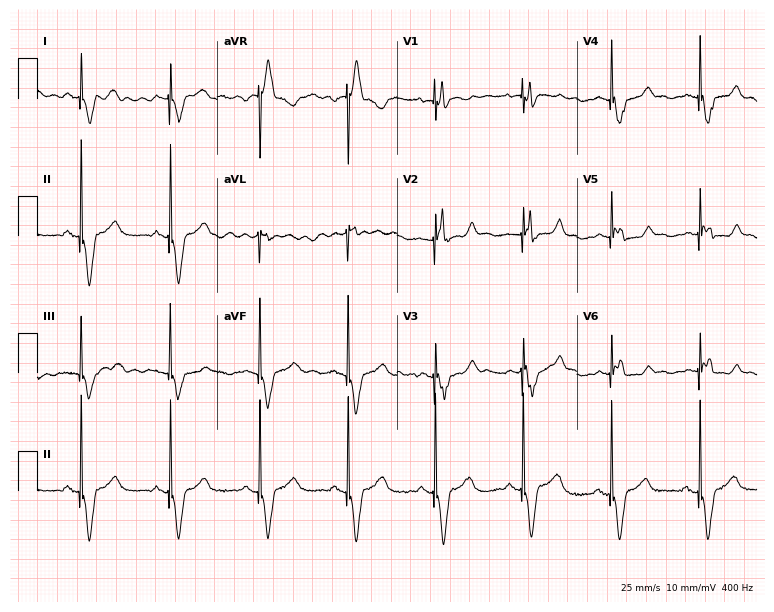
Electrocardiogram, a woman, 69 years old. Of the six screened findings (first-degree AV block, right bundle branch block, left bundle branch block, sinus bradycardia, atrial fibrillation, sinus tachycardia), none is recorded.